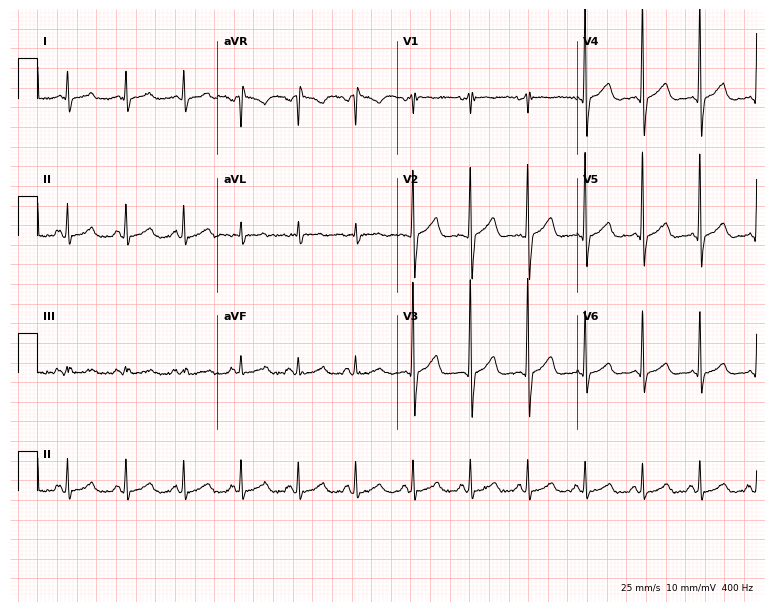
ECG — a male, 37 years old. Findings include sinus tachycardia (a sinus rate of 100 beats per minute or more).